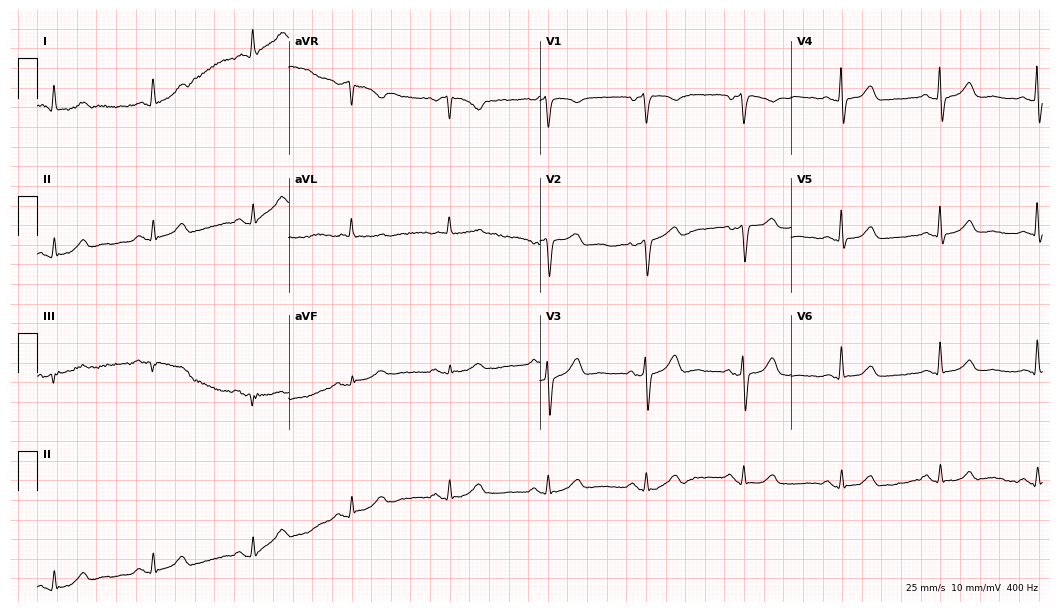
Electrocardiogram (10.2-second recording at 400 Hz), a 66-year-old man. Of the six screened findings (first-degree AV block, right bundle branch block, left bundle branch block, sinus bradycardia, atrial fibrillation, sinus tachycardia), none is recorded.